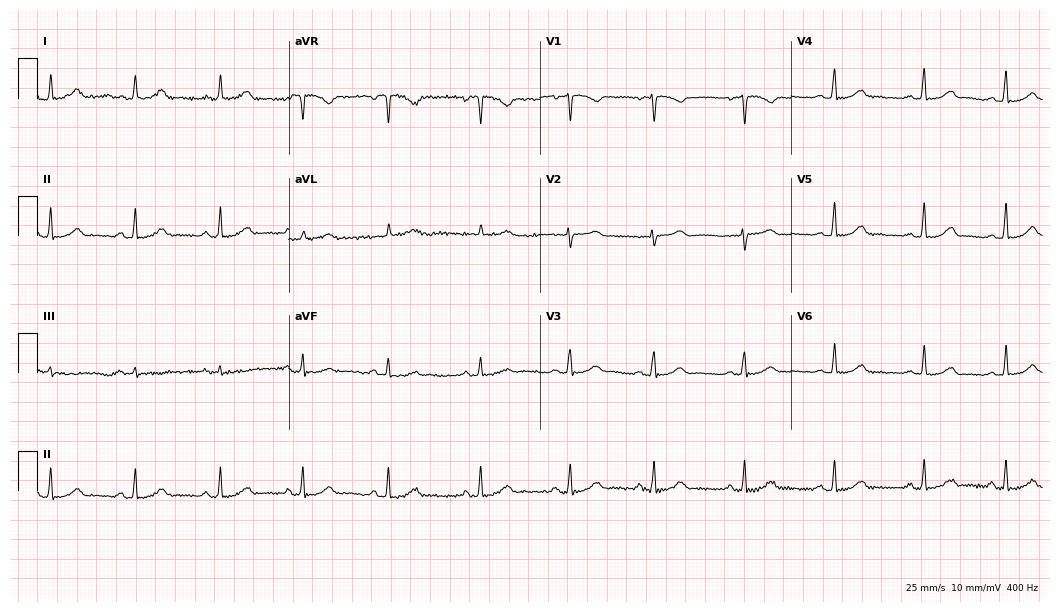
Resting 12-lead electrocardiogram (10.2-second recording at 400 Hz). Patient: a female, 31 years old. Read as a normal ECG.